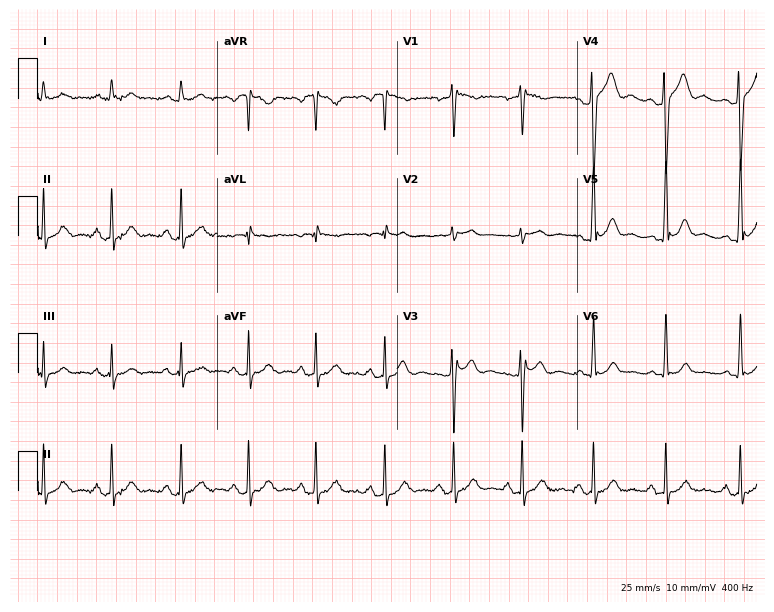
12-lead ECG from a man, 37 years old. No first-degree AV block, right bundle branch block, left bundle branch block, sinus bradycardia, atrial fibrillation or sinus tachycardia recorded for this tracing.